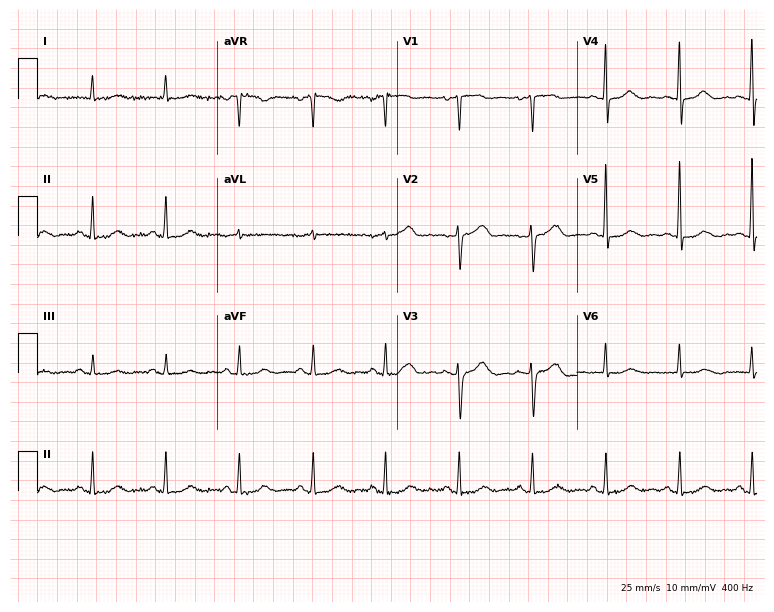
12-lead ECG from a woman, 83 years old. Screened for six findings — first-degree AV block, right bundle branch block, left bundle branch block, sinus bradycardia, atrial fibrillation, sinus tachycardia — none is recorded. Findings outside these six are not listed.